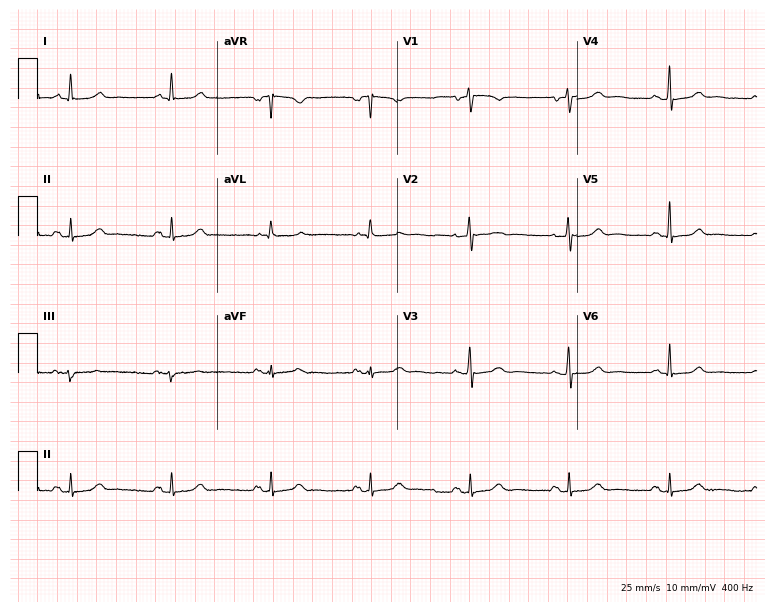
Resting 12-lead electrocardiogram. Patient: a female, 54 years old. Read as a normal ECG.